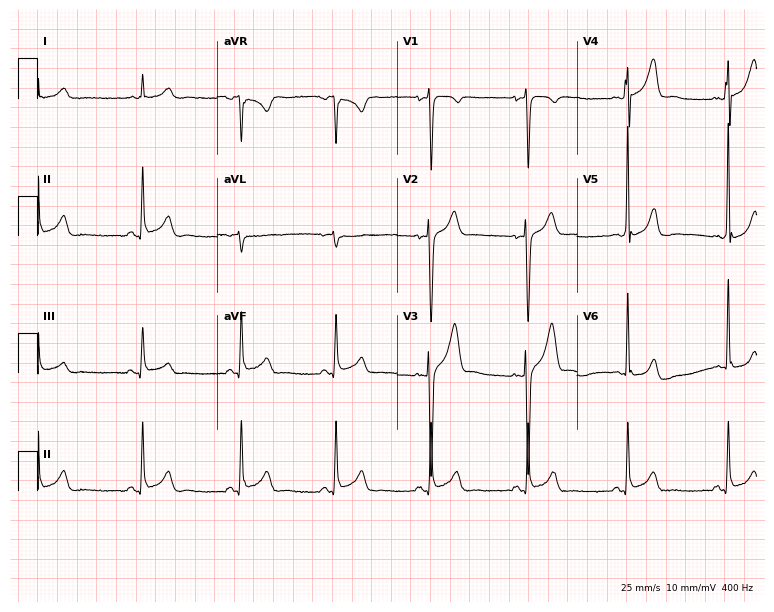
ECG (7.3-second recording at 400 Hz) — a 41-year-old male. Screened for six findings — first-degree AV block, right bundle branch block, left bundle branch block, sinus bradycardia, atrial fibrillation, sinus tachycardia — none is recorded.